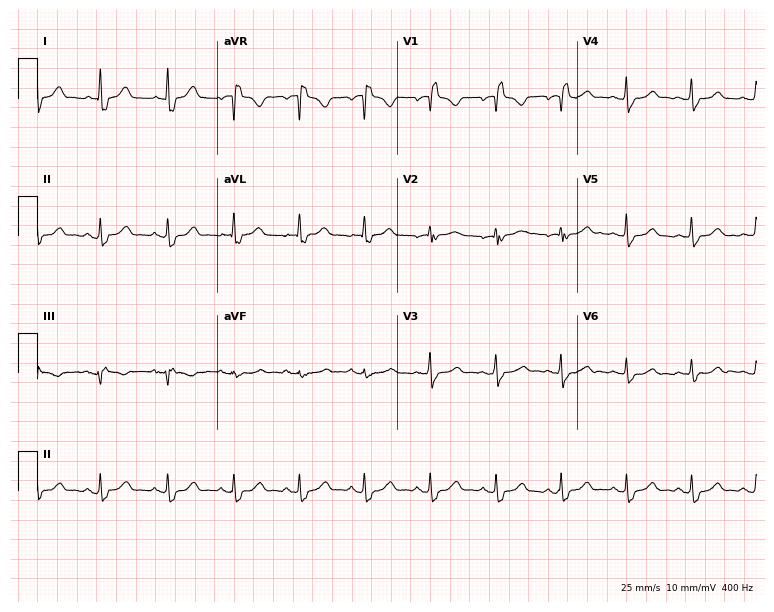
12-lead ECG from a female patient, 51 years old. Shows right bundle branch block.